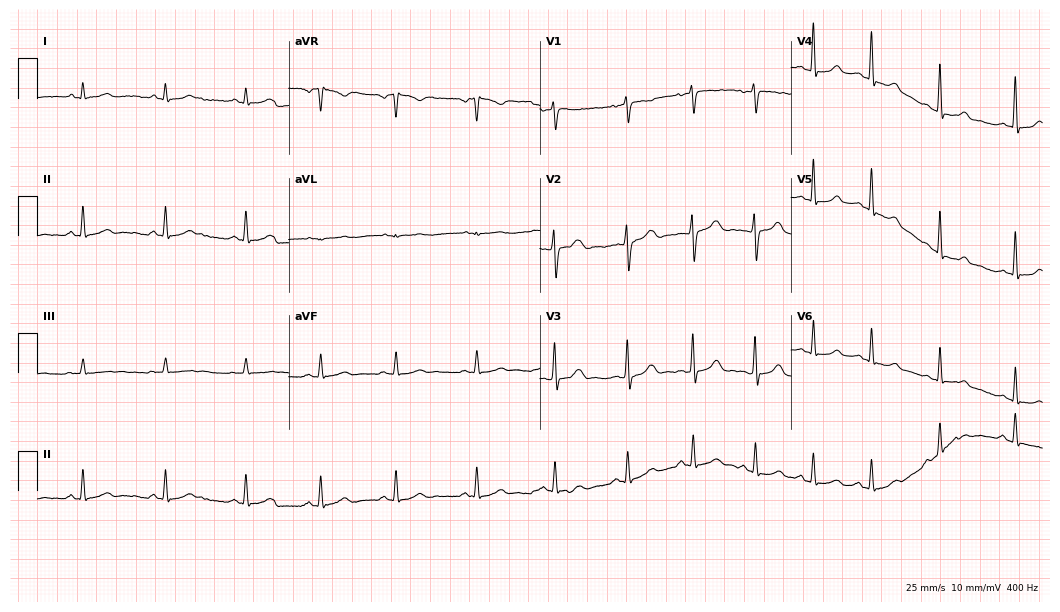
ECG (10.2-second recording at 400 Hz) — a female, 29 years old. Labelled as a normal ECG.